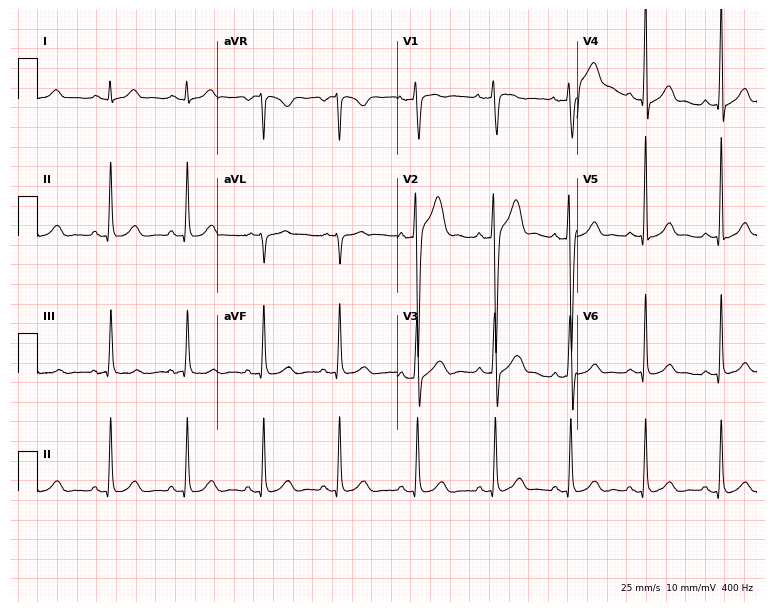
12-lead ECG from a 25-year-old man. Recorded interpretation: within normal limits.